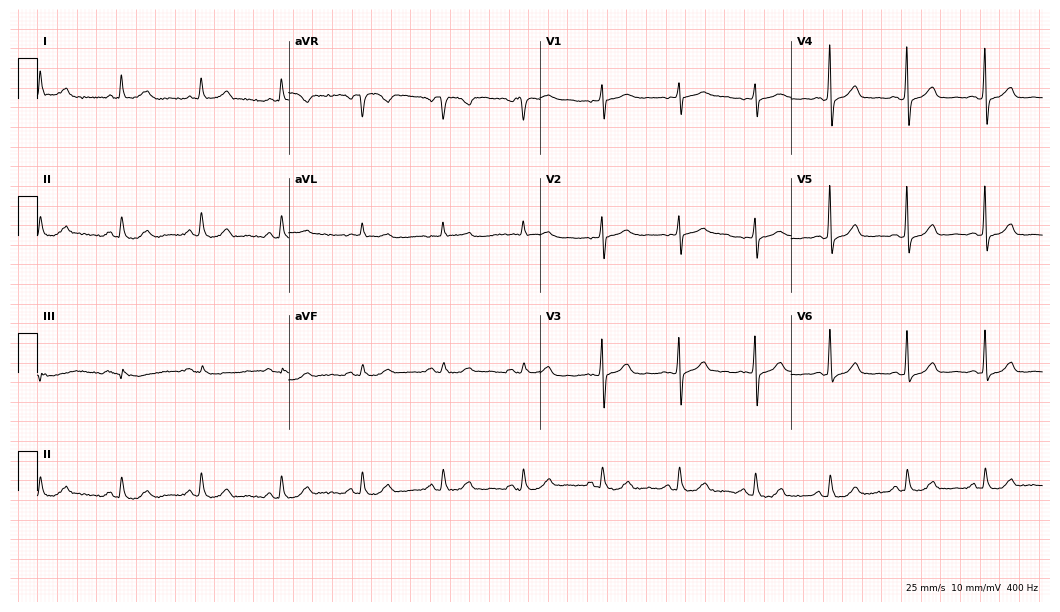
Electrocardiogram (10.2-second recording at 400 Hz), a 68-year-old woman. Overall reading on record: normal ECG.